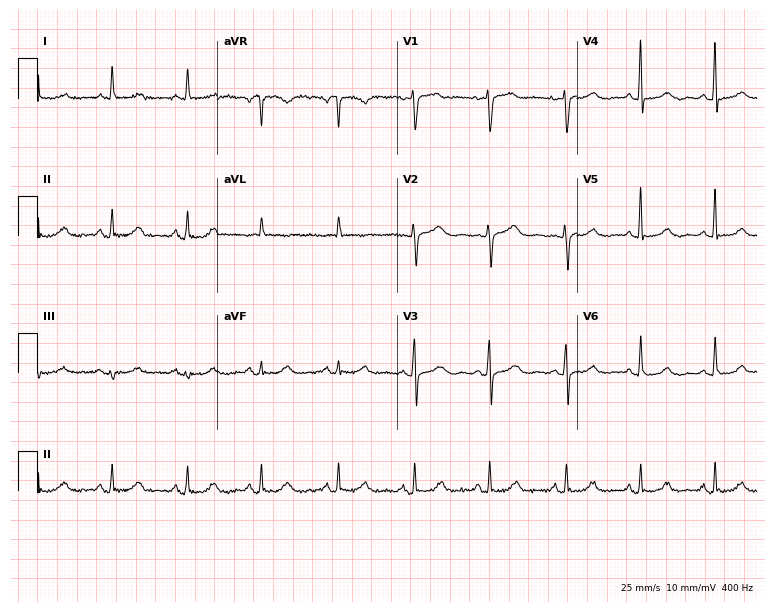
Resting 12-lead electrocardiogram (7.3-second recording at 400 Hz). Patient: a 58-year-old female. None of these six findings is recorded: first-degree AV block, right bundle branch block, left bundle branch block, sinus bradycardia, atrial fibrillation, sinus tachycardia. Other findings, if any, are not listed.